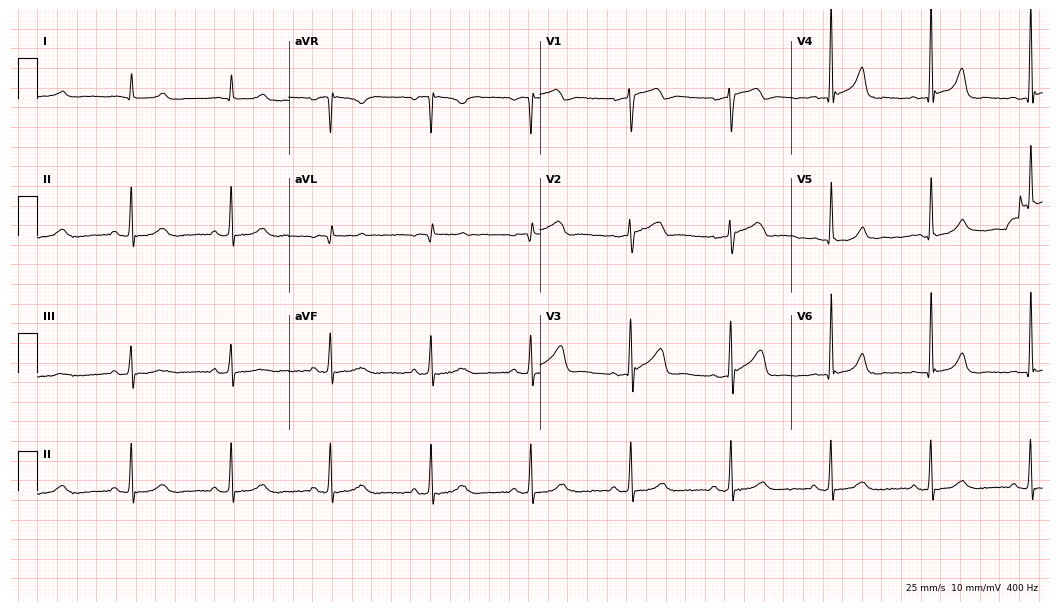
Standard 12-lead ECG recorded from an 84-year-old male patient. None of these six findings is recorded: first-degree AV block, right bundle branch block (RBBB), left bundle branch block (LBBB), sinus bradycardia, atrial fibrillation (AF), sinus tachycardia. Findings outside these six are not listed.